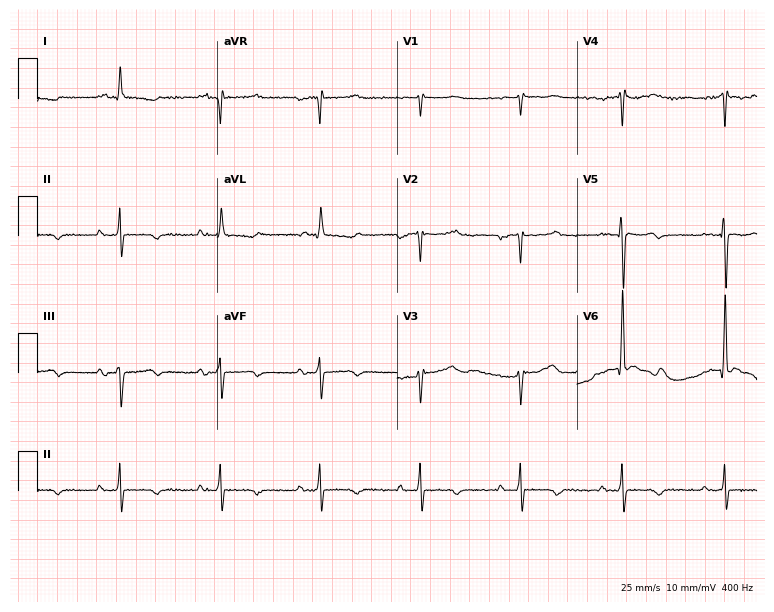
ECG — a man, 69 years old. Screened for six findings — first-degree AV block, right bundle branch block (RBBB), left bundle branch block (LBBB), sinus bradycardia, atrial fibrillation (AF), sinus tachycardia — none is recorded.